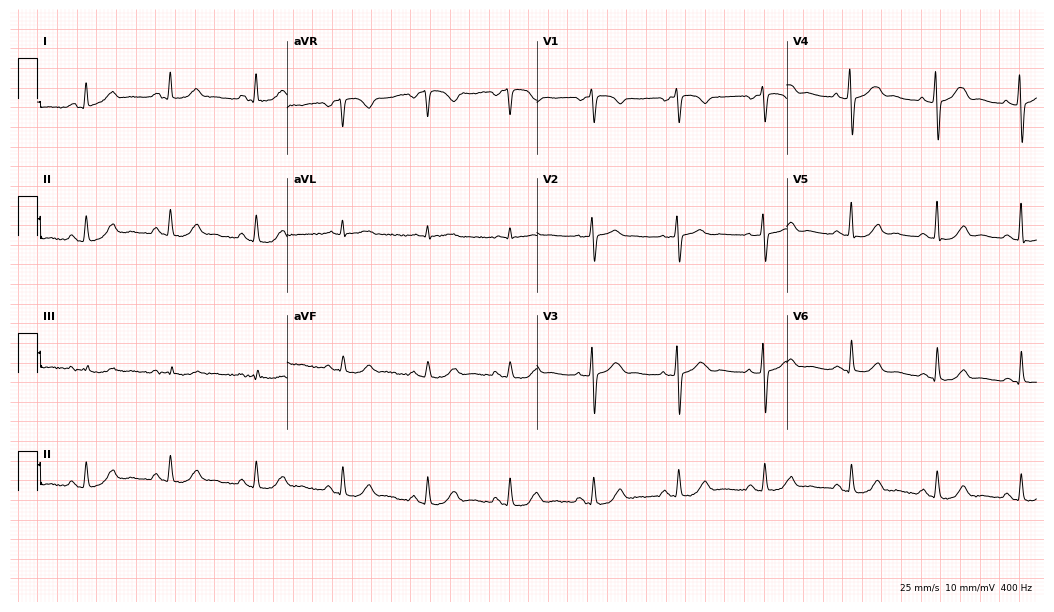
ECG — a female, 43 years old. Labelled as a normal ECG.